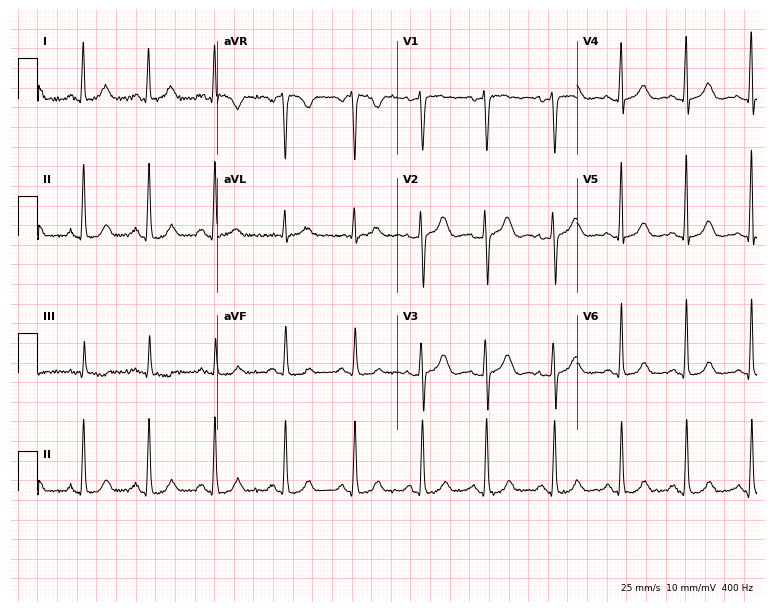
12-lead ECG from a woman, 43 years old. Recorded interpretation: within normal limits.